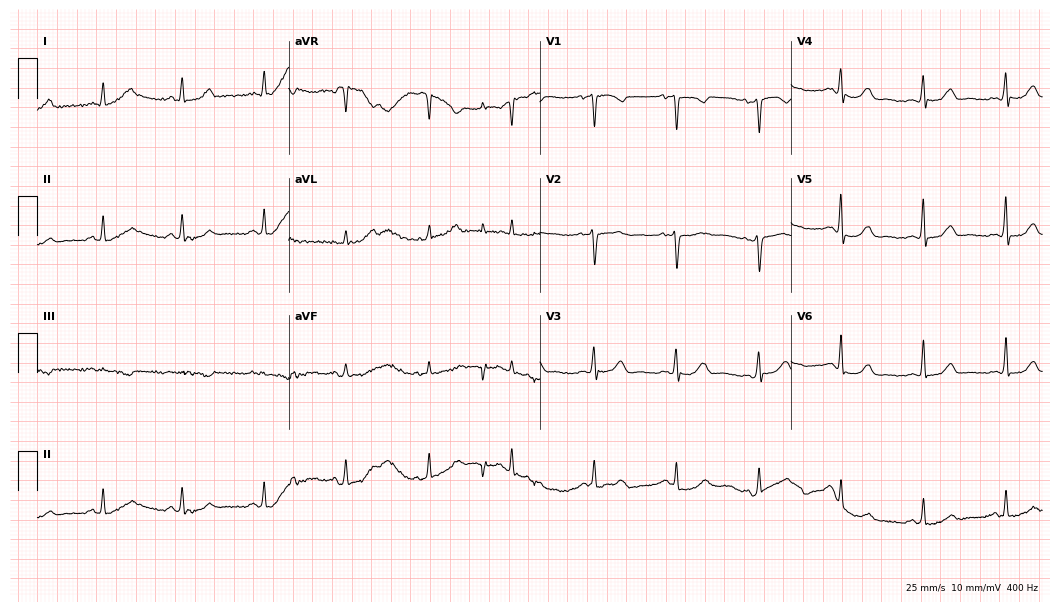
12-lead ECG from a woman, 36 years old (10.2-second recording at 400 Hz). No first-degree AV block, right bundle branch block, left bundle branch block, sinus bradycardia, atrial fibrillation or sinus tachycardia recorded for this tracing.